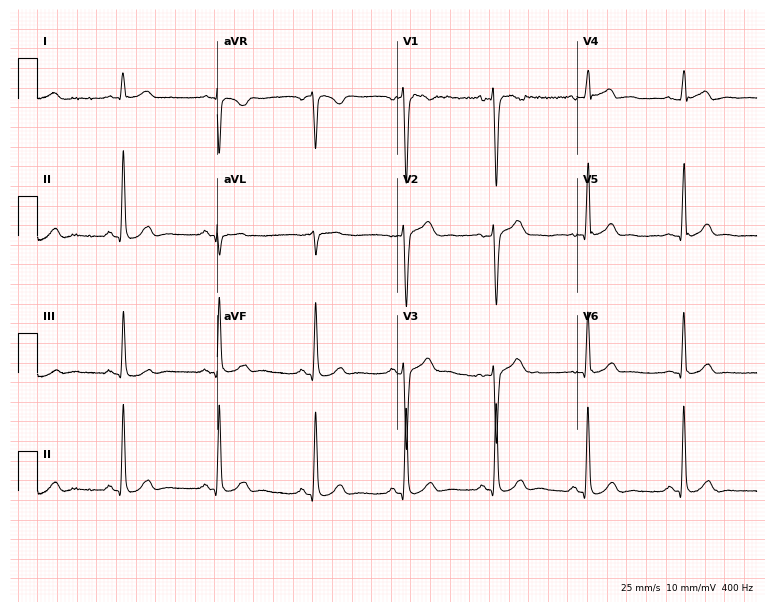
ECG — a 31-year-old male. Labelled as a normal ECG.